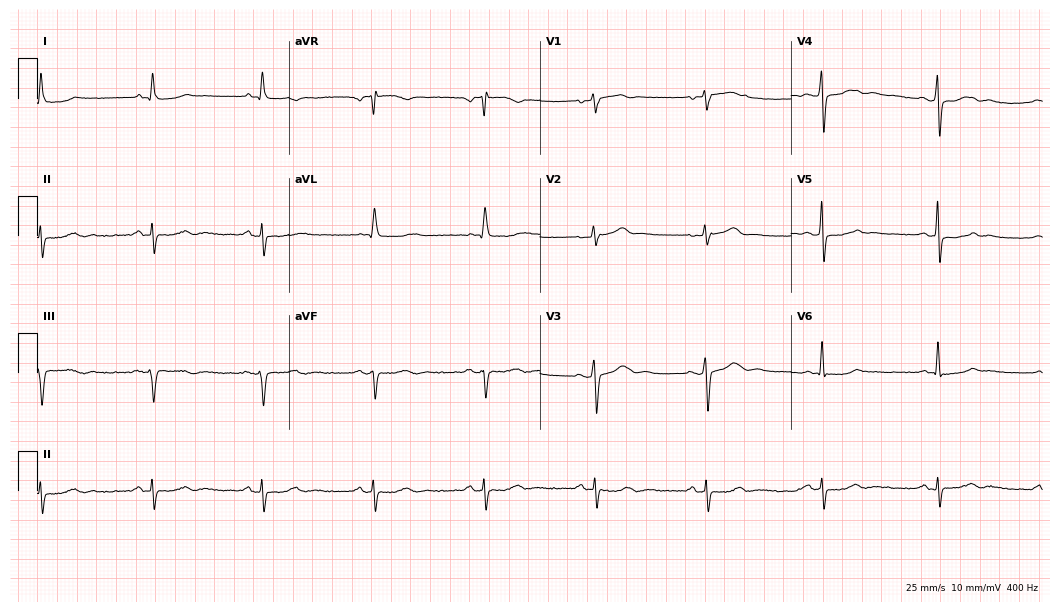
Standard 12-lead ECG recorded from a female patient, 55 years old (10.2-second recording at 400 Hz). None of these six findings is recorded: first-degree AV block, right bundle branch block, left bundle branch block, sinus bradycardia, atrial fibrillation, sinus tachycardia. Other findings, if any, are not listed.